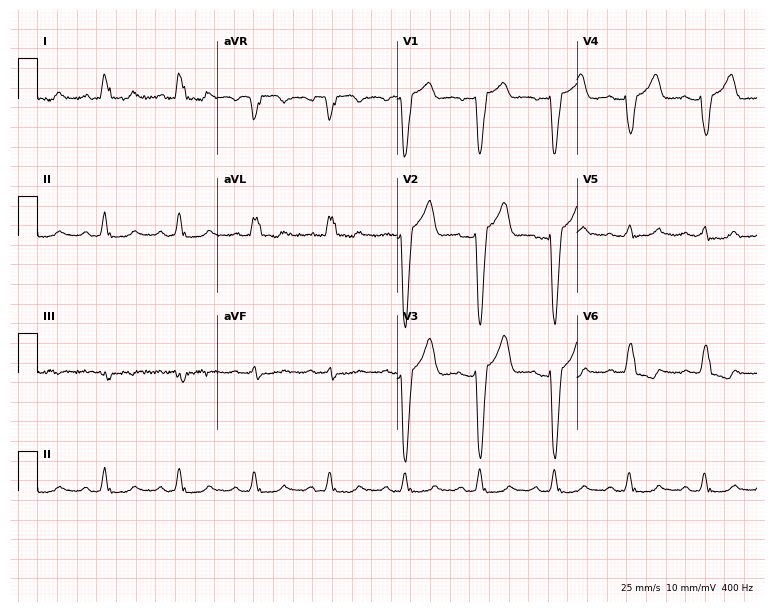
12-lead ECG from a woman, 66 years old (7.3-second recording at 400 Hz). Shows left bundle branch block.